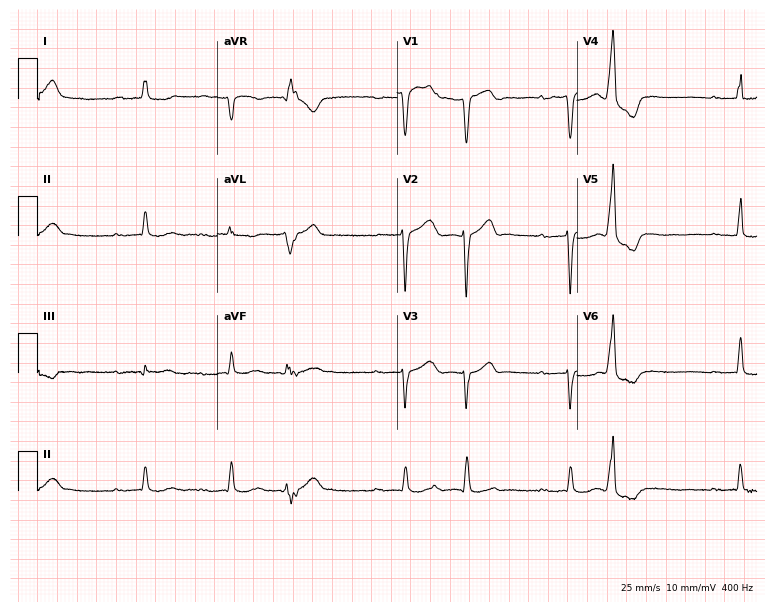
12-lead ECG from a 75-year-old man (7.3-second recording at 400 Hz). Shows first-degree AV block.